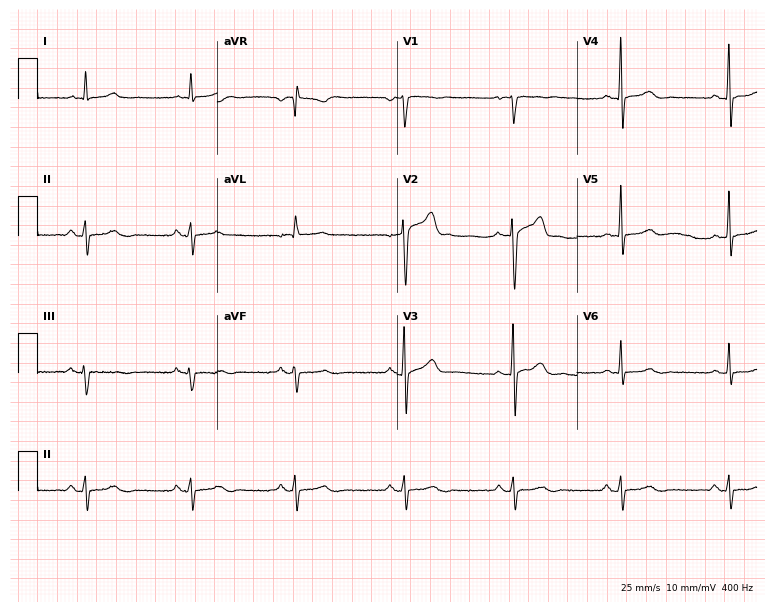
Electrocardiogram, a 60-year-old male. Overall reading on record: normal ECG.